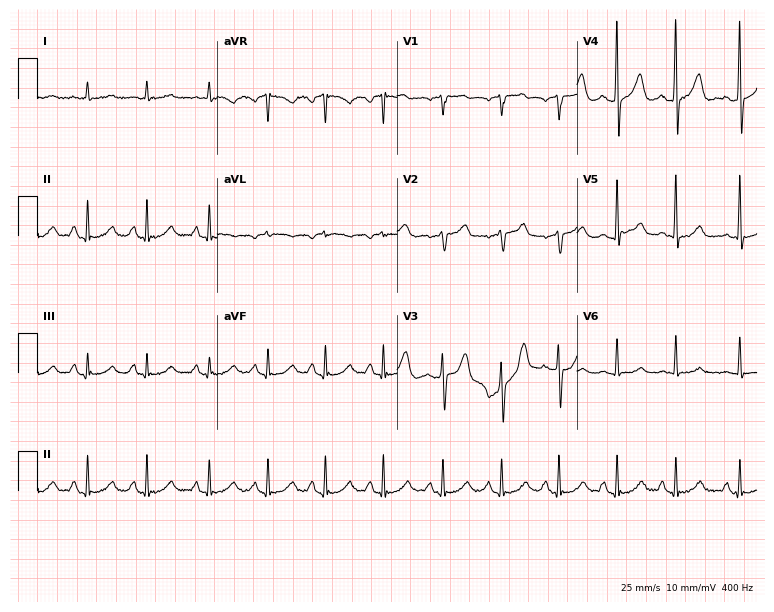
Standard 12-lead ECG recorded from a 78-year-old male patient (7.3-second recording at 400 Hz). None of these six findings is recorded: first-degree AV block, right bundle branch block (RBBB), left bundle branch block (LBBB), sinus bradycardia, atrial fibrillation (AF), sinus tachycardia.